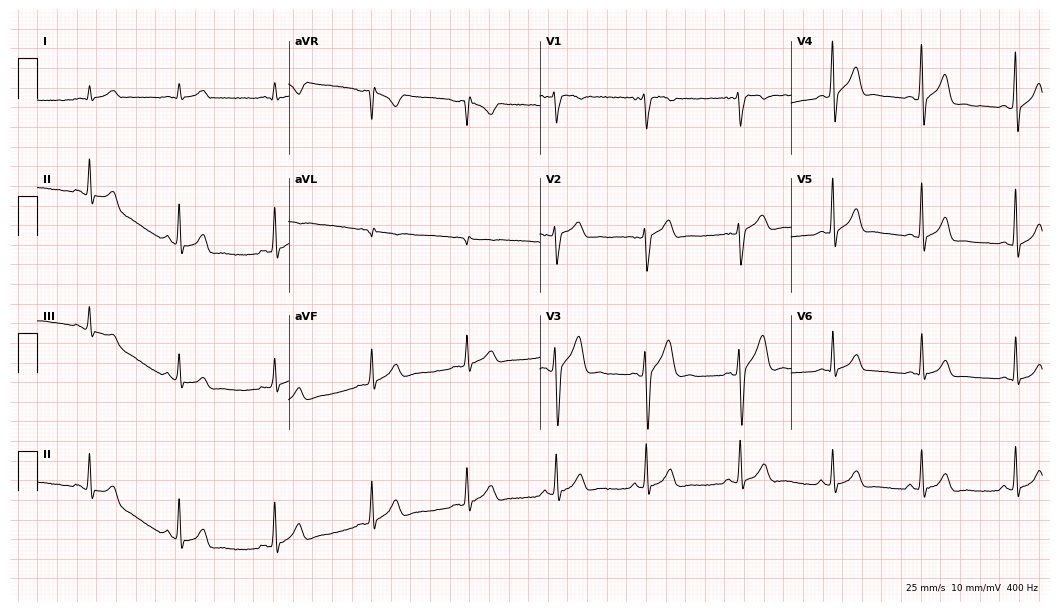
Standard 12-lead ECG recorded from a man, 35 years old (10.2-second recording at 400 Hz). Read as a normal ECG.